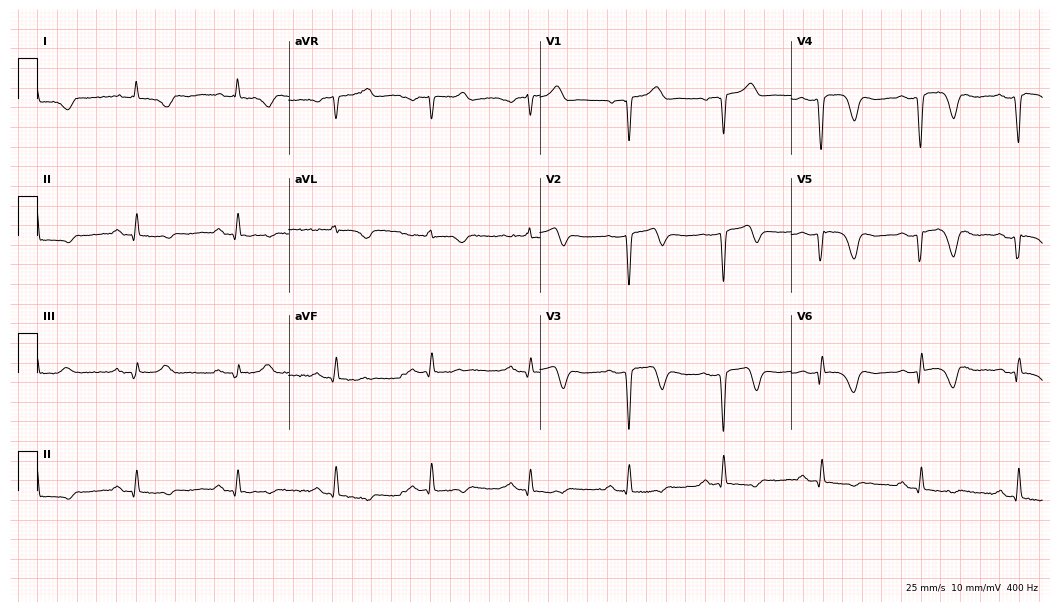
Electrocardiogram (10.2-second recording at 400 Hz), a male patient, 83 years old. Of the six screened findings (first-degree AV block, right bundle branch block (RBBB), left bundle branch block (LBBB), sinus bradycardia, atrial fibrillation (AF), sinus tachycardia), none is recorded.